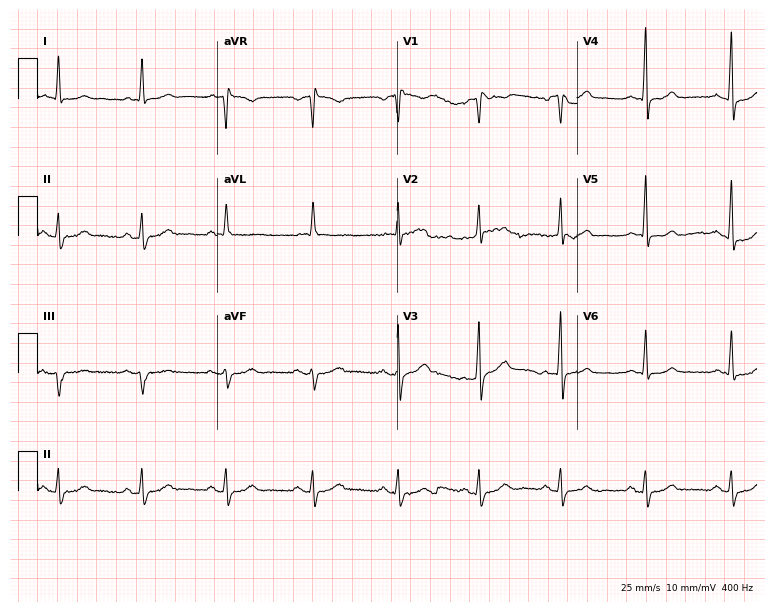
Electrocardiogram (7.3-second recording at 400 Hz), a male patient, 57 years old. Overall reading on record: normal ECG.